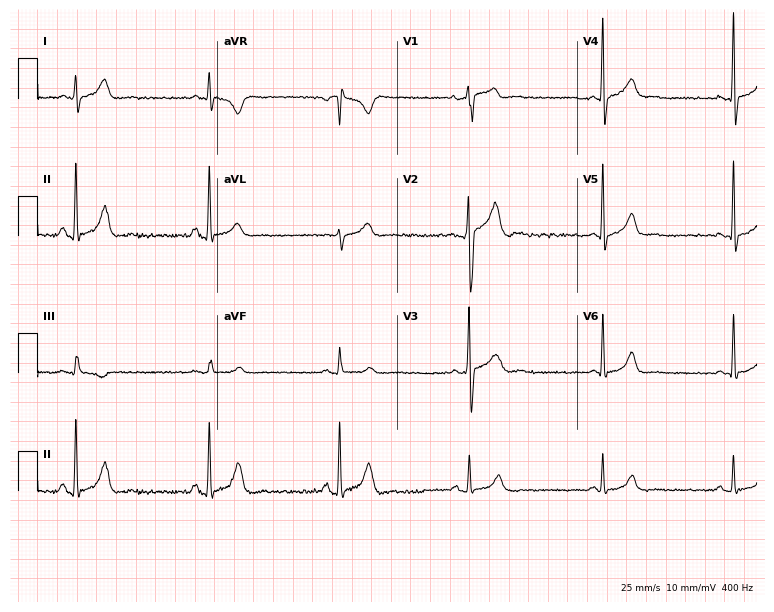
12-lead ECG from a 33-year-old man (7.3-second recording at 400 Hz). Shows sinus bradycardia (a sinus rate of 50 beats per minute or less).